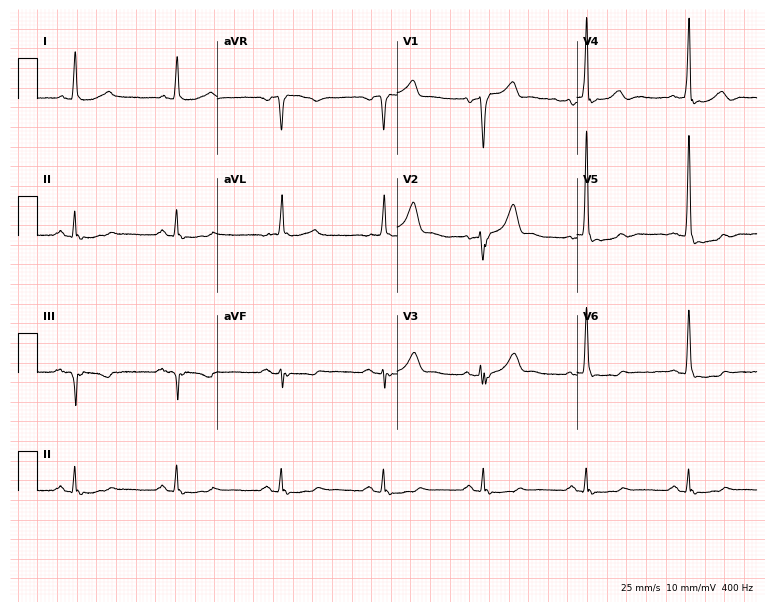
Resting 12-lead electrocardiogram (7.3-second recording at 400 Hz). Patient: a man, 76 years old. None of these six findings is recorded: first-degree AV block, right bundle branch block, left bundle branch block, sinus bradycardia, atrial fibrillation, sinus tachycardia. Findings outside these six are not listed.